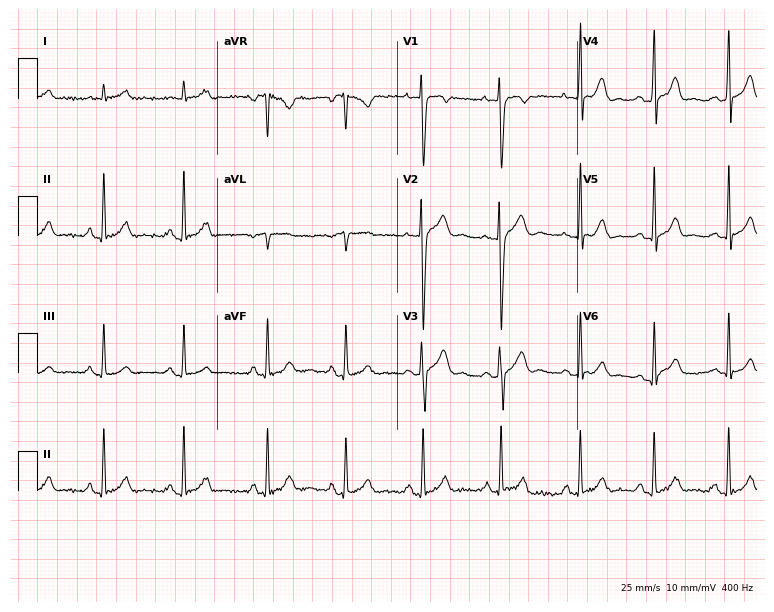
12-lead ECG (7.3-second recording at 400 Hz) from a 19-year-old man. Screened for six findings — first-degree AV block, right bundle branch block, left bundle branch block, sinus bradycardia, atrial fibrillation, sinus tachycardia — none is recorded.